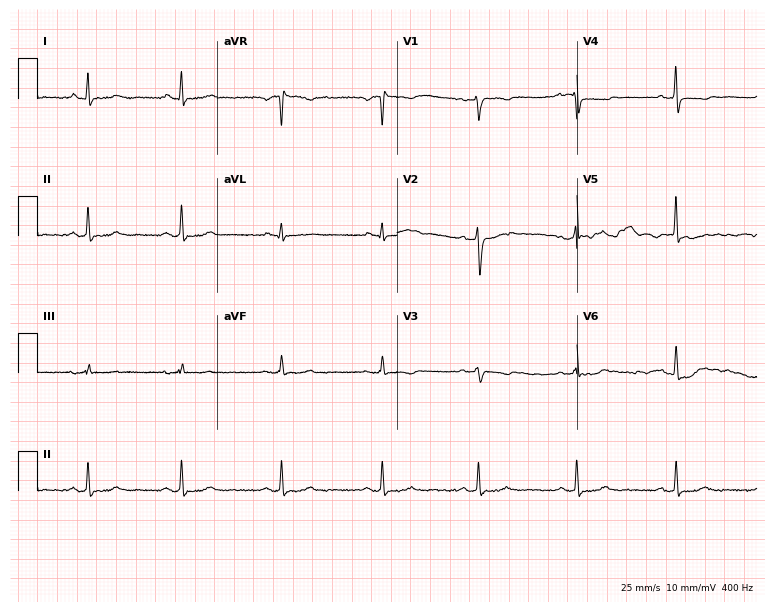
12-lead ECG (7.3-second recording at 400 Hz) from a female patient, 45 years old. Screened for six findings — first-degree AV block, right bundle branch block, left bundle branch block, sinus bradycardia, atrial fibrillation, sinus tachycardia — none is recorded. Only these six findings were labelled.